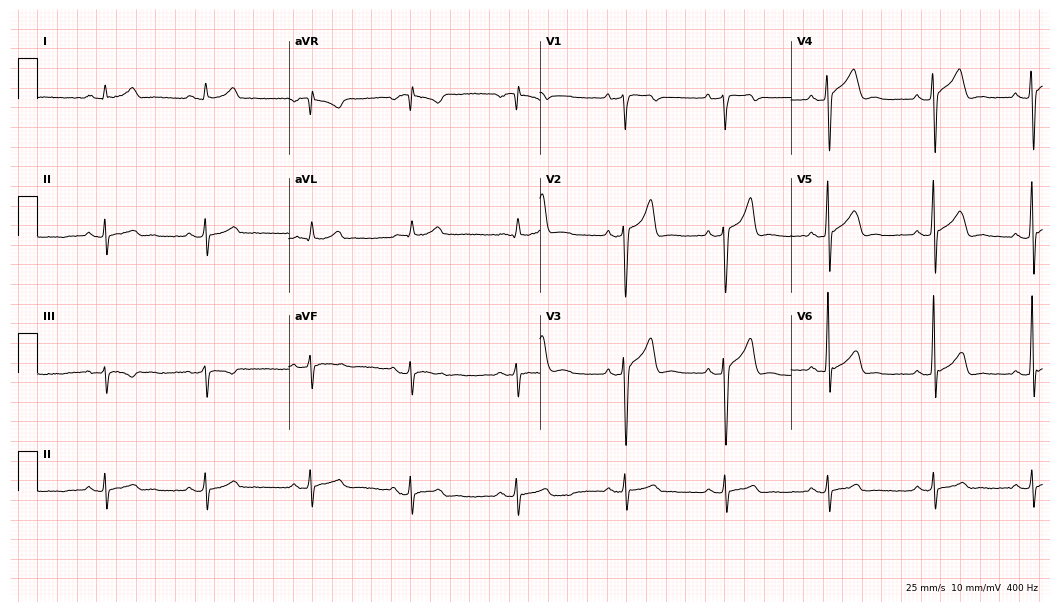
ECG (10.2-second recording at 400 Hz) — a male patient, 46 years old. Labelled as a normal ECG.